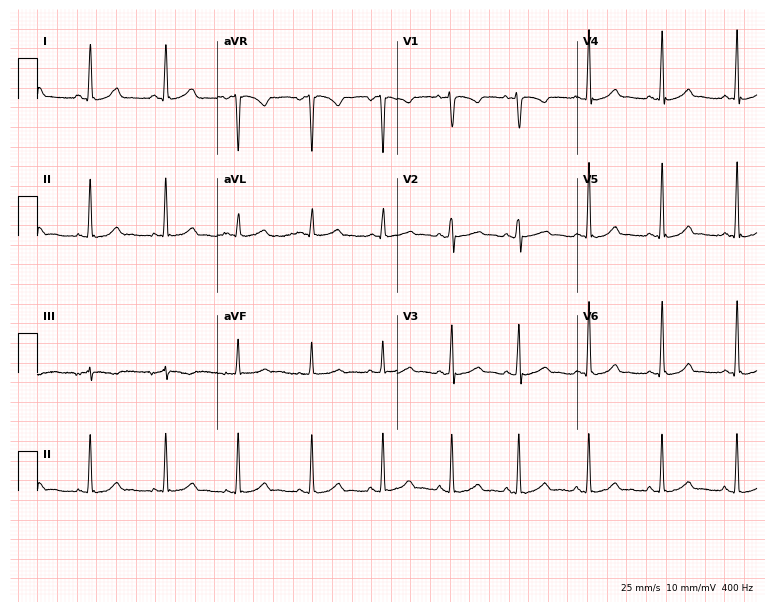
Standard 12-lead ECG recorded from a 31-year-old female patient (7.3-second recording at 400 Hz). Read as a normal ECG.